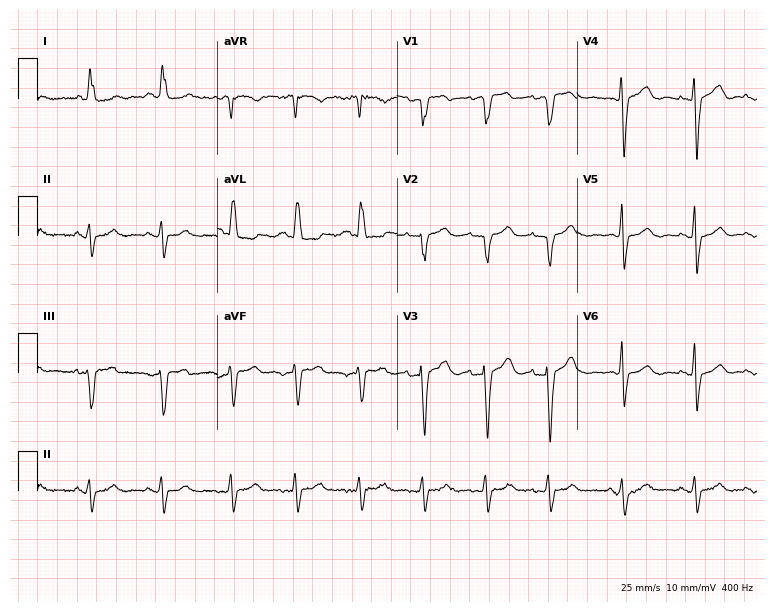
12-lead ECG (7.3-second recording at 400 Hz) from a woman, 78 years old. Screened for six findings — first-degree AV block, right bundle branch block, left bundle branch block, sinus bradycardia, atrial fibrillation, sinus tachycardia — none is recorded.